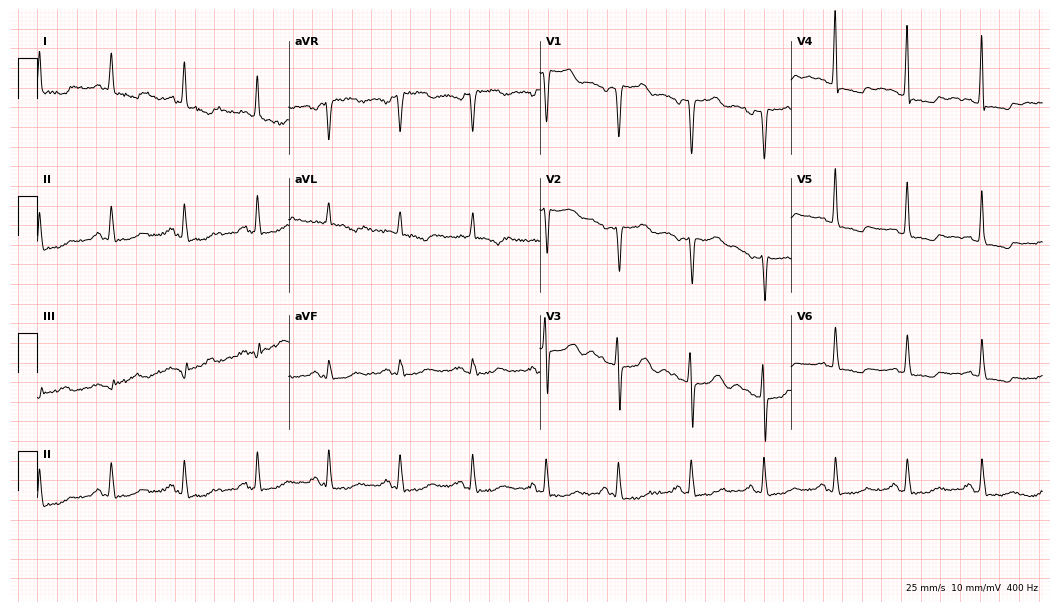
12-lead ECG (10.2-second recording at 400 Hz) from a 57-year-old woman. Screened for six findings — first-degree AV block, right bundle branch block, left bundle branch block, sinus bradycardia, atrial fibrillation, sinus tachycardia — none is recorded.